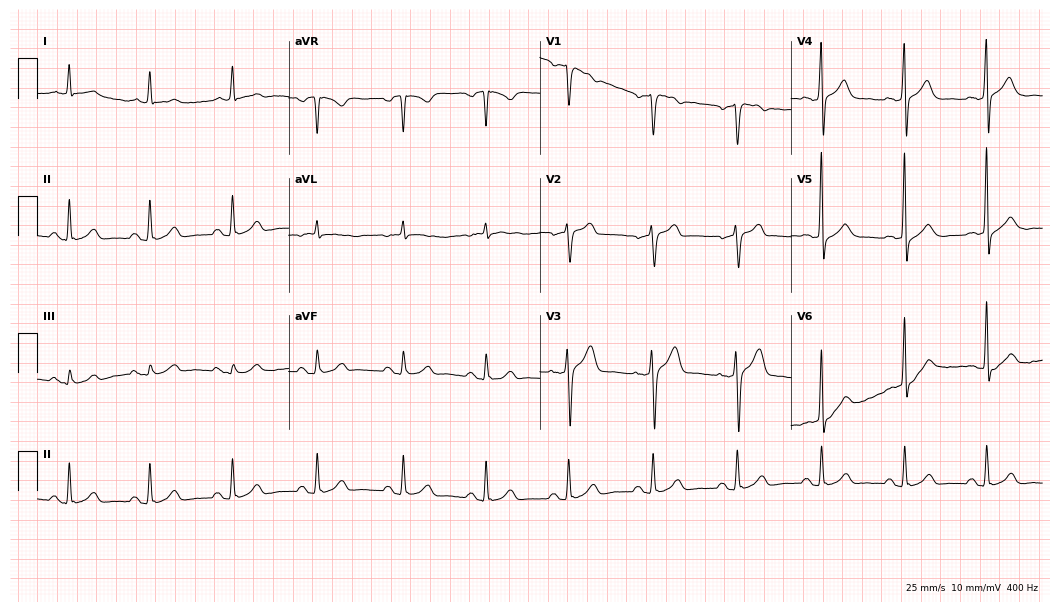
Standard 12-lead ECG recorded from a 51-year-old male patient. Read as a normal ECG.